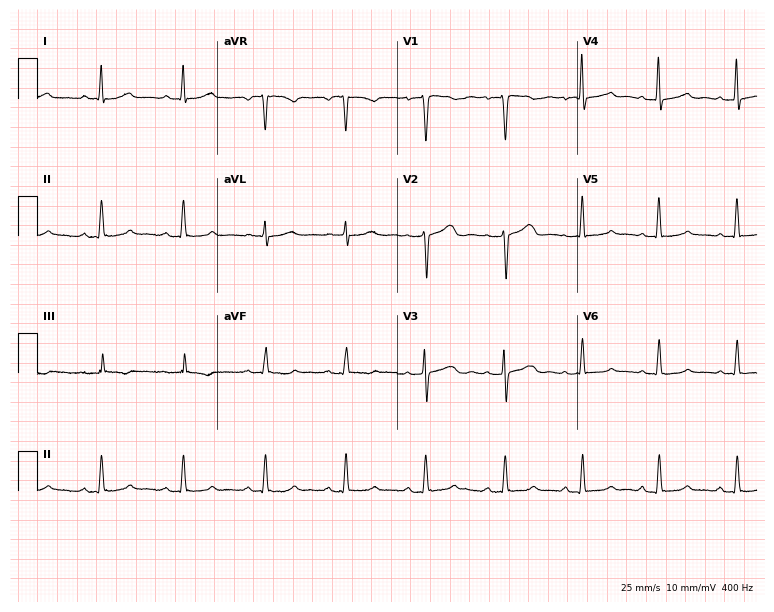
Electrocardiogram (7.3-second recording at 400 Hz), a 43-year-old female patient. Overall reading on record: normal ECG.